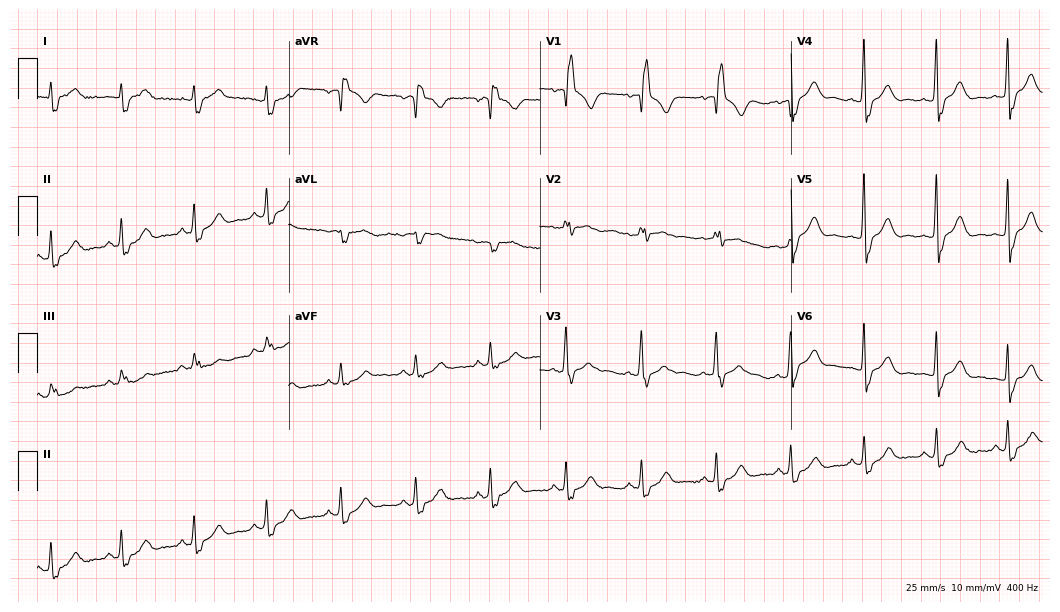
12-lead ECG from a 66-year-old male patient. Shows right bundle branch block.